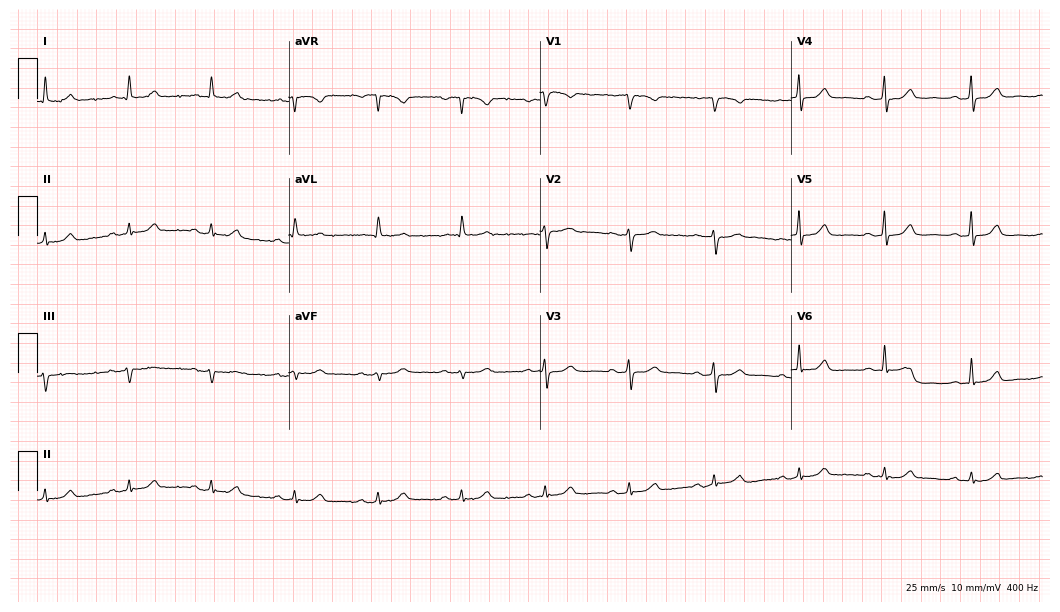
Electrocardiogram, a 78-year-old female patient. Overall reading on record: normal ECG.